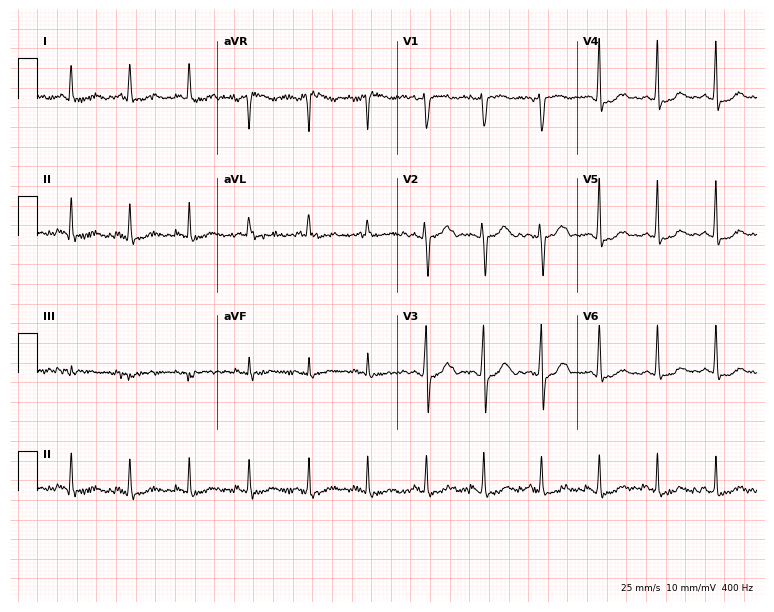
12-lead ECG (7.3-second recording at 400 Hz) from a female, 54 years old. Findings include sinus tachycardia (a sinus rate of 100 beats per minute or more).